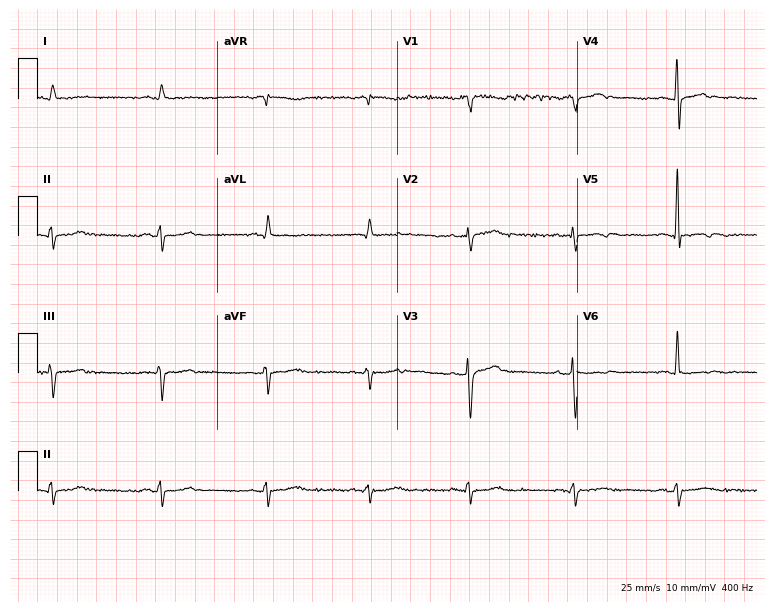
Electrocardiogram (7.3-second recording at 400 Hz), an 81-year-old male. Of the six screened findings (first-degree AV block, right bundle branch block, left bundle branch block, sinus bradycardia, atrial fibrillation, sinus tachycardia), none is recorded.